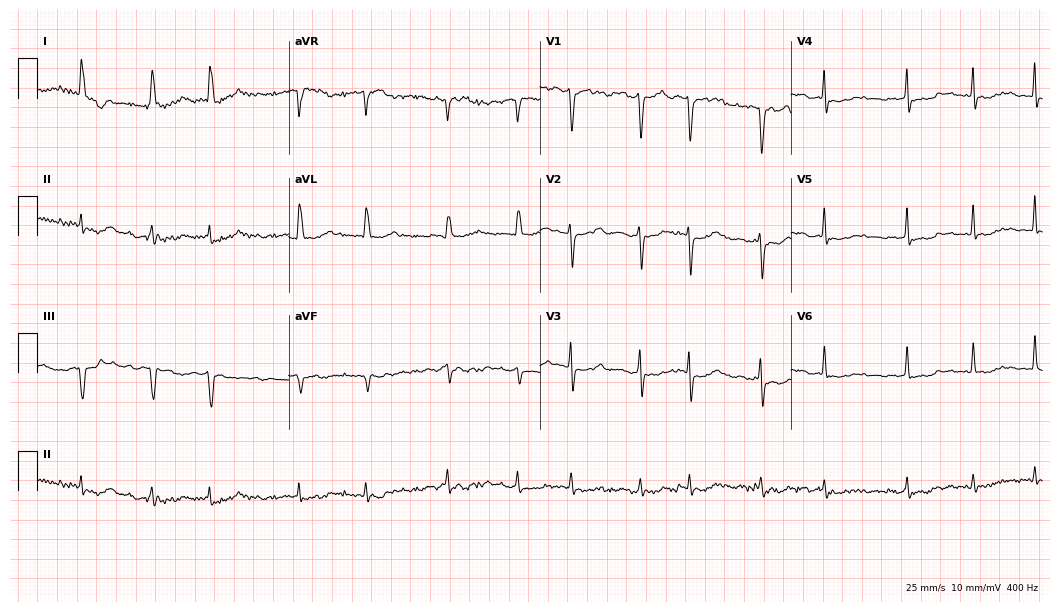
12-lead ECG from a 78-year-old female patient. Screened for six findings — first-degree AV block, right bundle branch block (RBBB), left bundle branch block (LBBB), sinus bradycardia, atrial fibrillation (AF), sinus tachycardia — none is recorded.